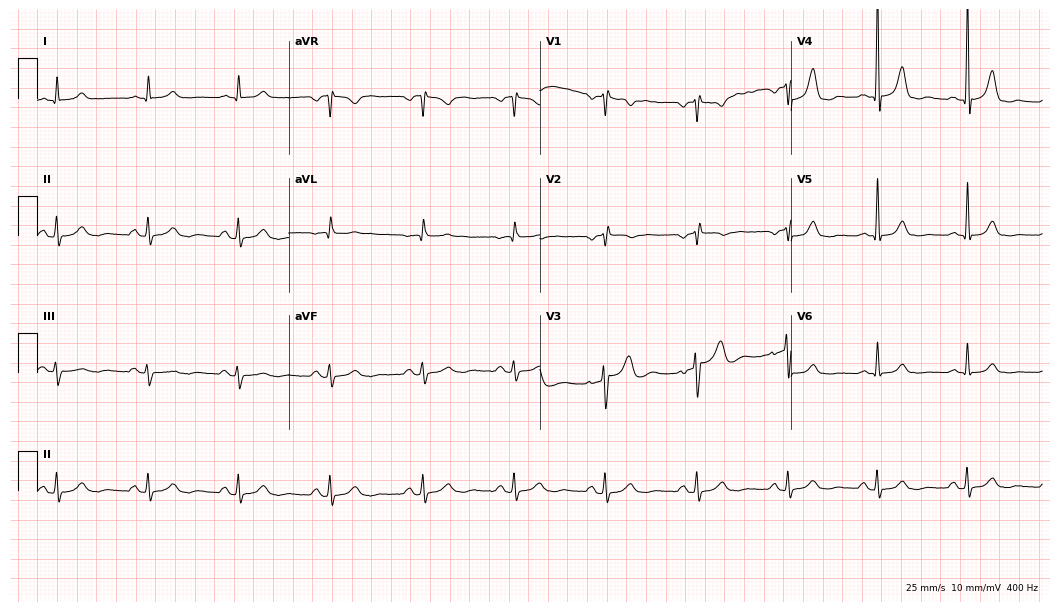
Electrocardiogram (10.2-second recording at 400 Hz), a 61-year-old man. Of the six screened findings (first-degree AV block, right bundle branch block (RBBB), left bundle branch block (LBBB), sinus bradycardia, atrial fibrillation (AF), sinus tachycardia), none is recorded. Only these six findings were labelled.